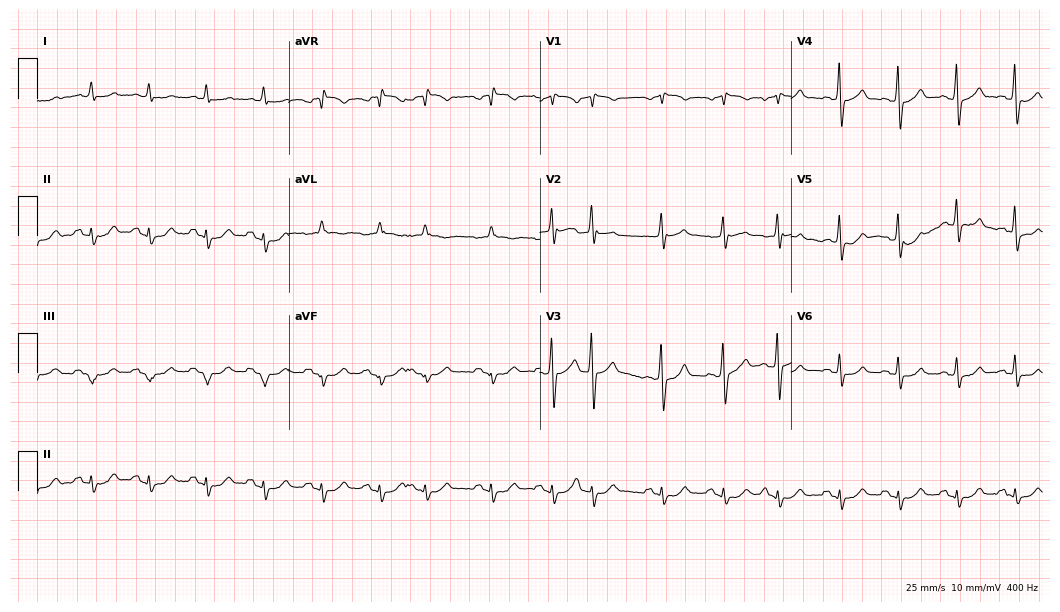
Resting 12-lead electrocardiogram. Patient: a male, 77 years old. None of these six findings is recorded: first-degree AV block, right bundle branch block, left bundle branch block, sinus bradycardia, atrial fibrillation, sinus tachycardia.